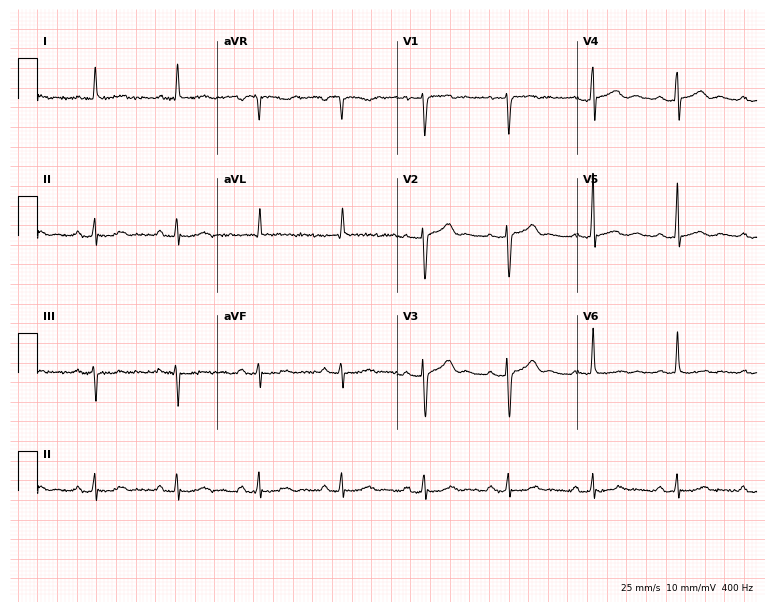
Electrocardiogram, a 75-year-old male patient. Of the six screened findings (first-degree AV block, right bundle branch block, left bundle branch block, sinus bradycardia, atrial fibrillation, sinus tachycardia), none is recorded. Findings outside these six are not listed.